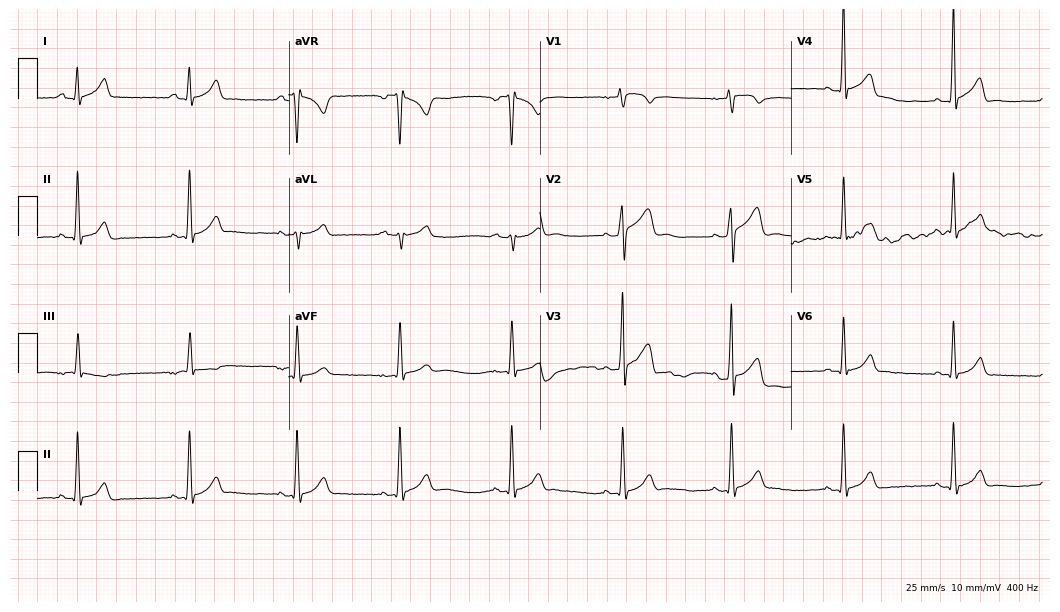
12-lead ECG (10.2-second recording at 400 Hz) from a 24-year-old male. Labelled as a normal ECG.